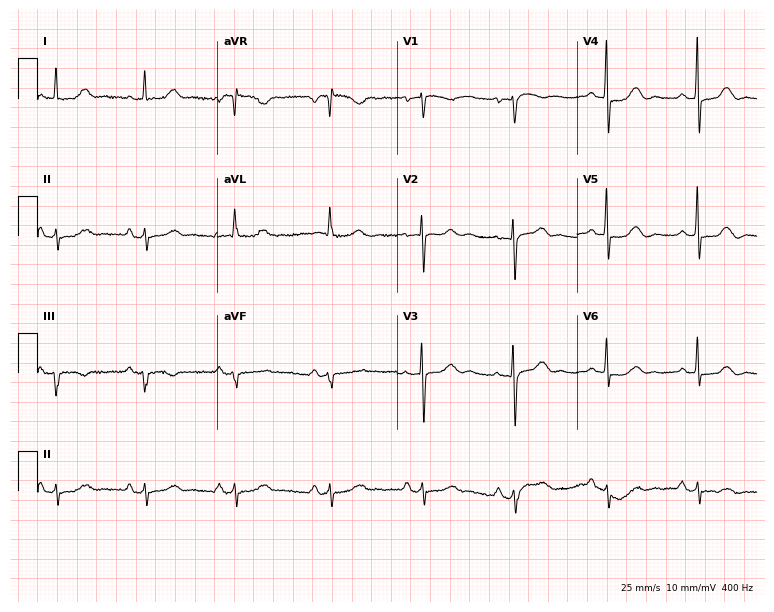
ECG — a female patient, 79 years old. Screened for six findings — first-degree AV block, right bundle branch block, left bundle branch block, sinus bradycardia, atrial fibrillation, sinus tachycardia — none is recorded. Findings outside these six are not listed.